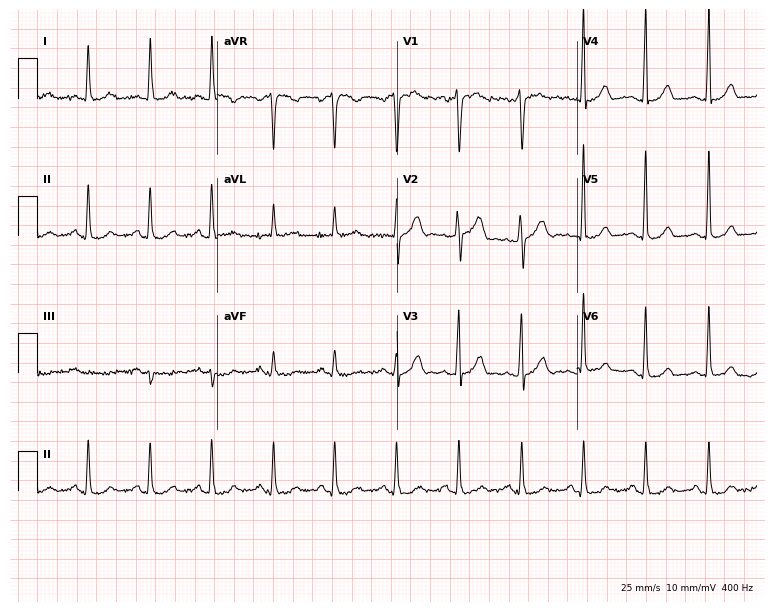
Electrocardiogram, a 55-year-old female. Of the six screened findings (first-degree AV block, right bundle branch block (RBBB), left bundle branch block (LBBB), sinus bradycardia, atrial fibrillation (AF), sinus tachycardia), none is recorded.